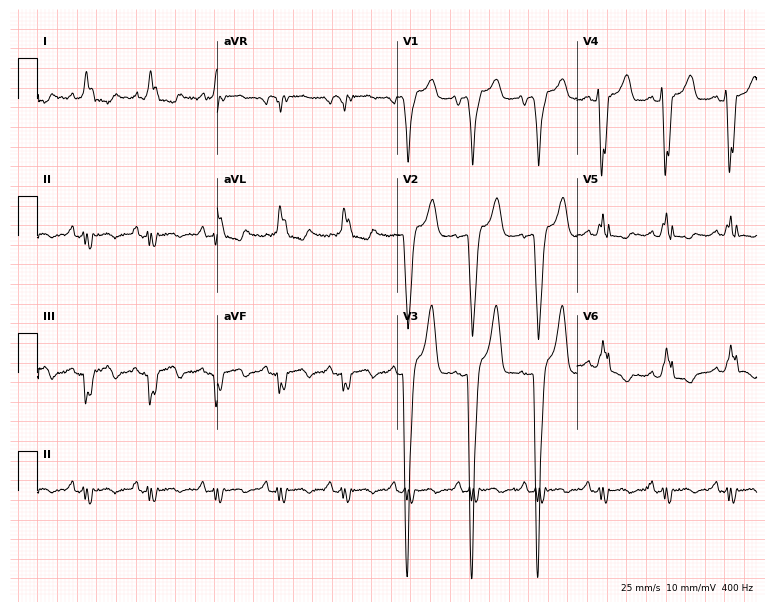
ECG — a 70-year-old female. Findings include left bundle branch block.